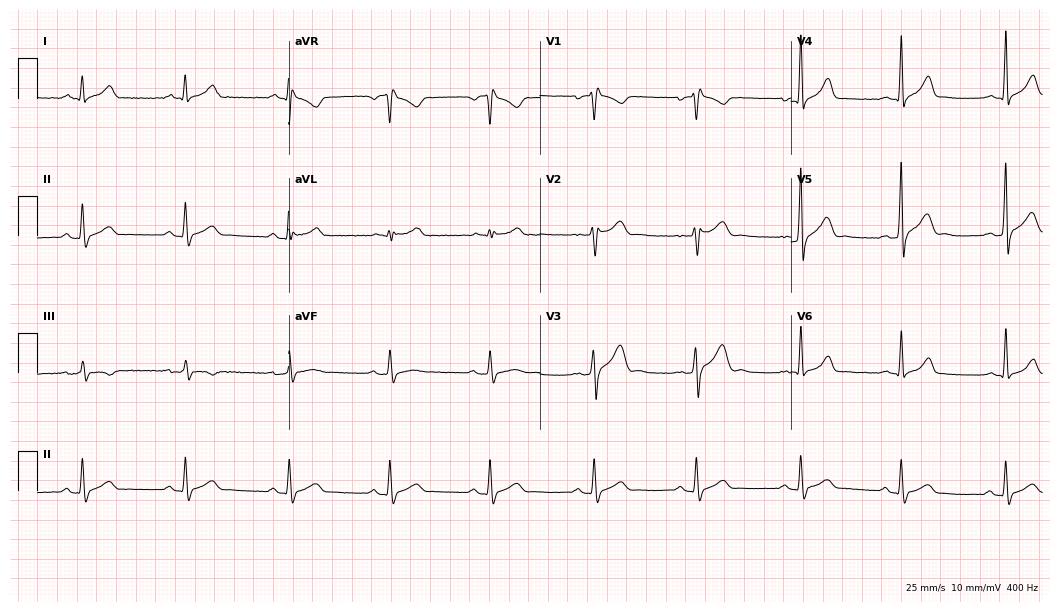
Resting 12-lead electrocardiogram. Patient: a male, 28 years old. None of these six findings is recorded: first-degree AV block, right bundle branch block (RBBB), left bundle branch block (LBBB), sinus bradycardia, atrial fibrillation (AF), sinus tachycardia. Only these six findings were labelled.